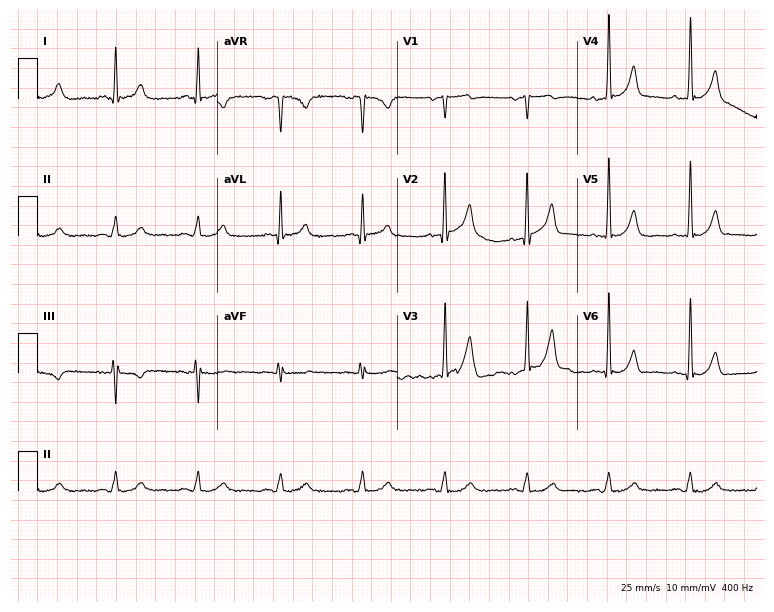
ECG — a male patient, 62 years old. Labelled as a normal ECG.